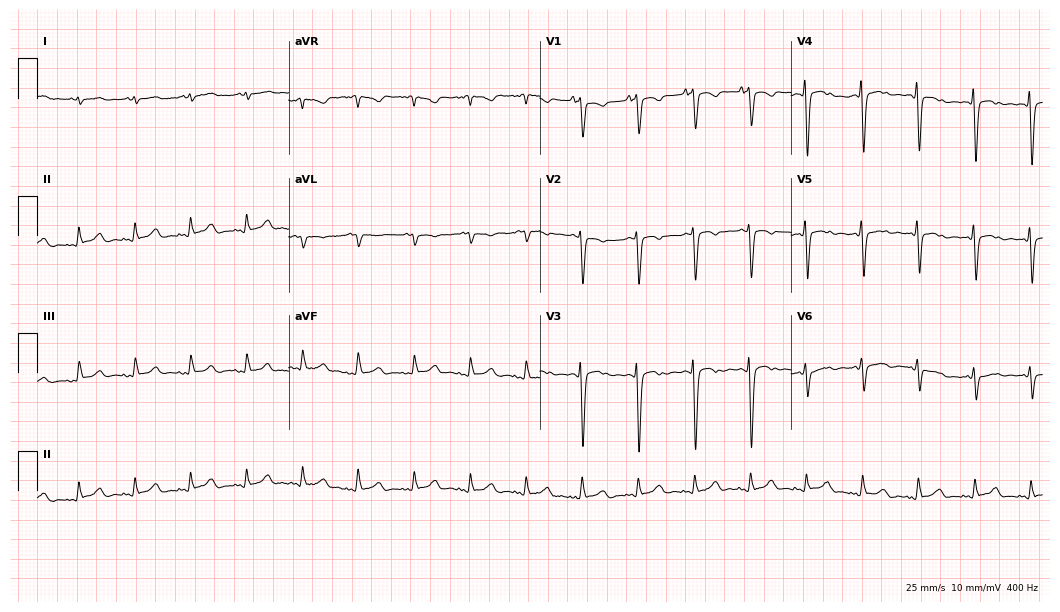
Electrocardiogram (10.2-second recording at 400 Hz), a 72-year-old male patient. Interpretation includes sinus tachycardia (a sinus rate of 100 beats per minute or more).